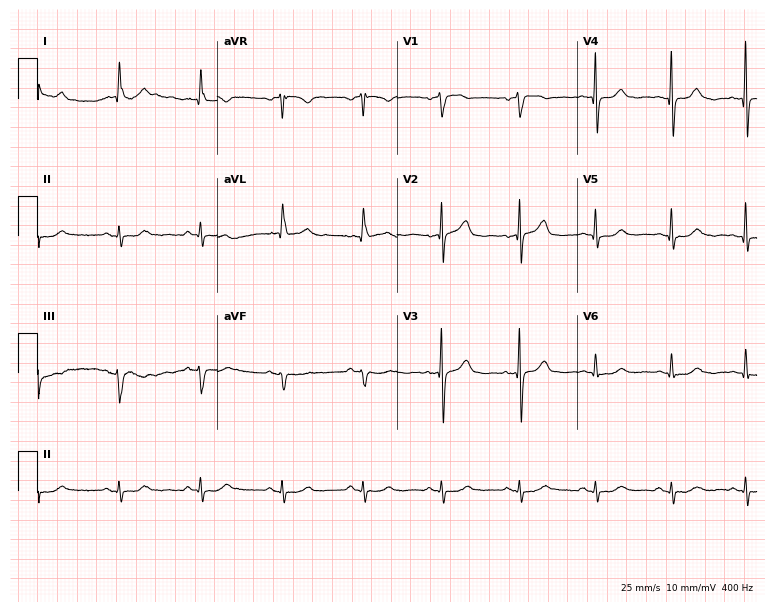
12-lead ECG from a 59-year-old man (7.3-second recording at 400 Hz). No first-degree AV block, right bundle branch block, left bundle branch block, sinus bradycardia, atrial fibrillation or sinus tachycardia recorded for this tracing.